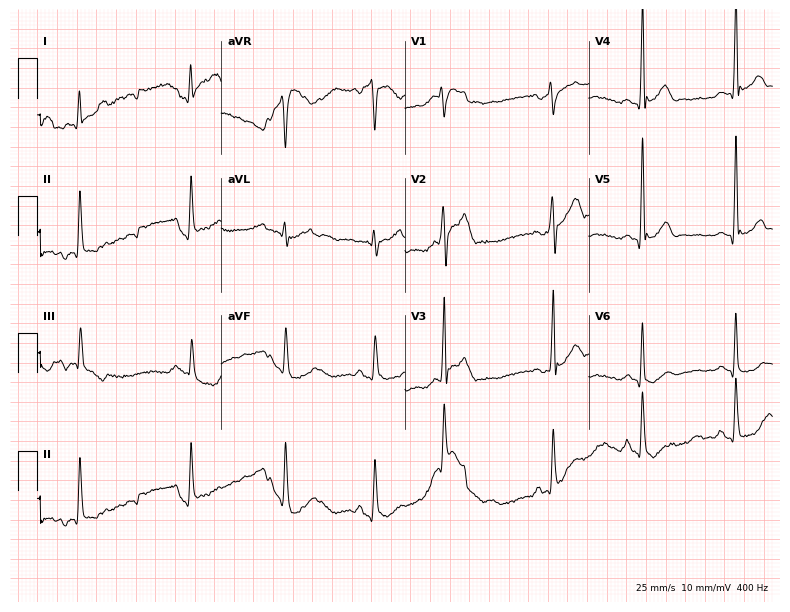
Standard 12-lead ECG recorded from a 39-year-old male patient. None of these six findings is recorded: first-degree AV block, right bundle branch block, left bundle branch block, sinus bradycardia, atrial fibrillation, sinus tachycardia.